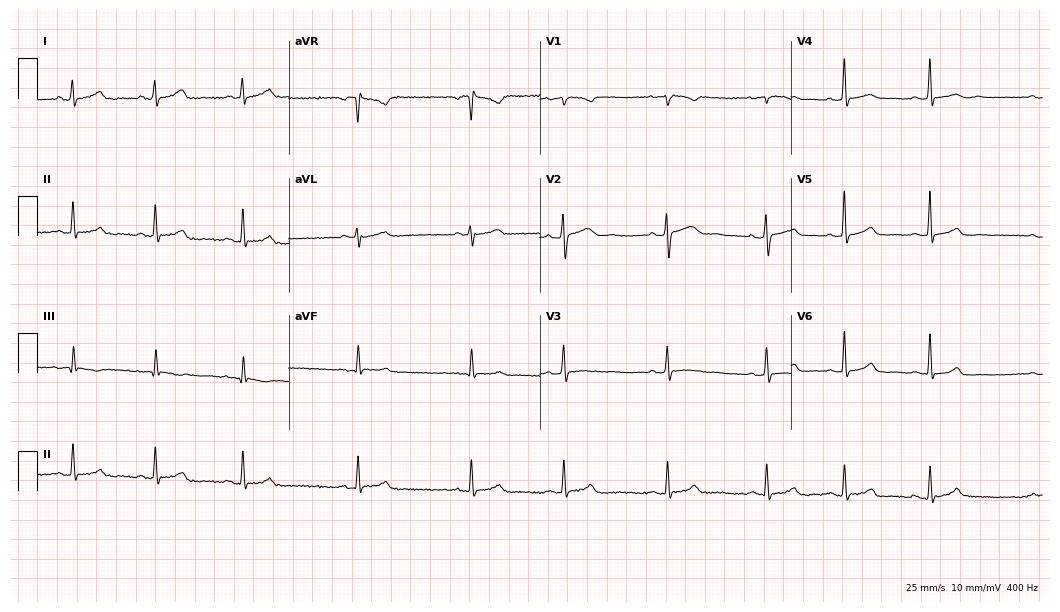
ECG — a 22-year-old female. Labelled as a normal ECG.